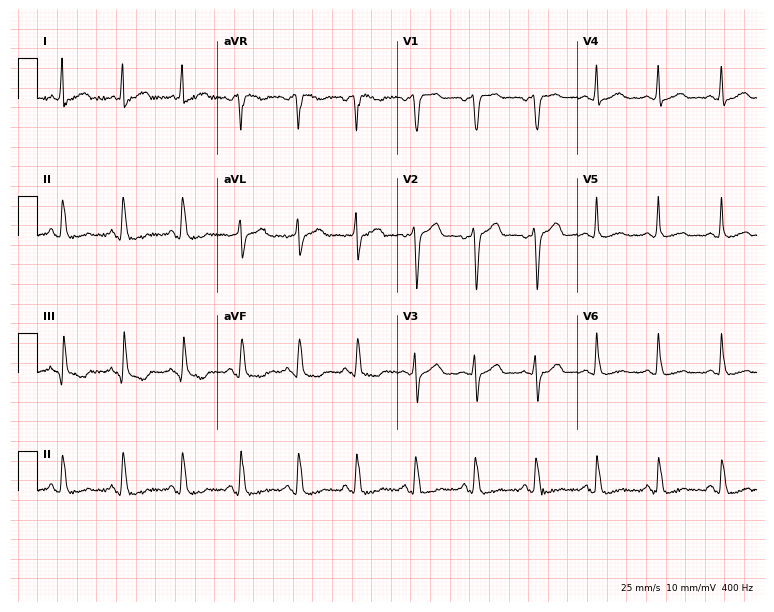
Standard 12-lead ECG recorded from a 55-year-old female. Read as a normal ECG.